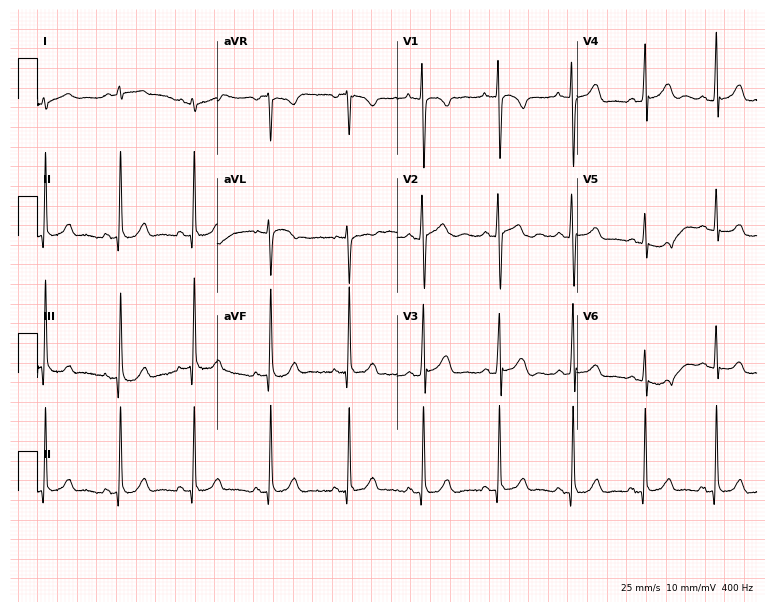
Resting 12-lead electrocardiogram. Patient: a 19-year-old female. Read as a normal ECG.